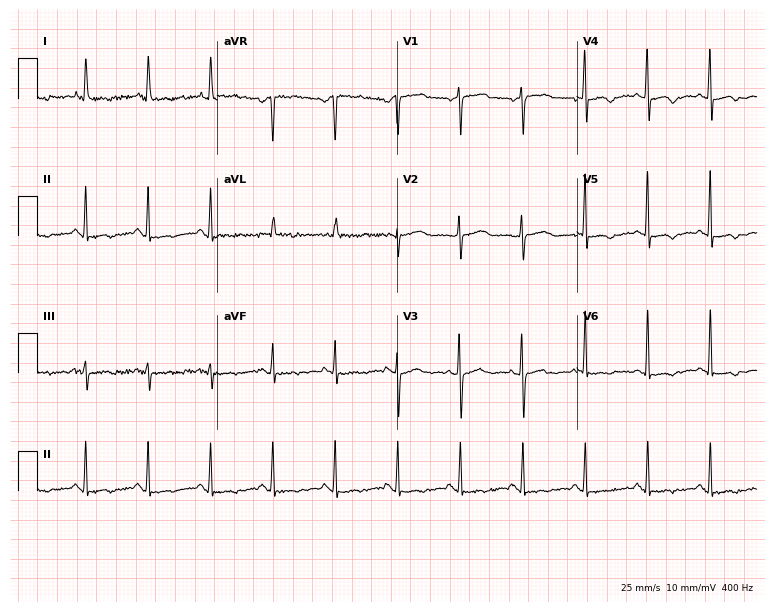
12-lead ECG from an 83-year-old female patient. Labelled as a normal ECG.